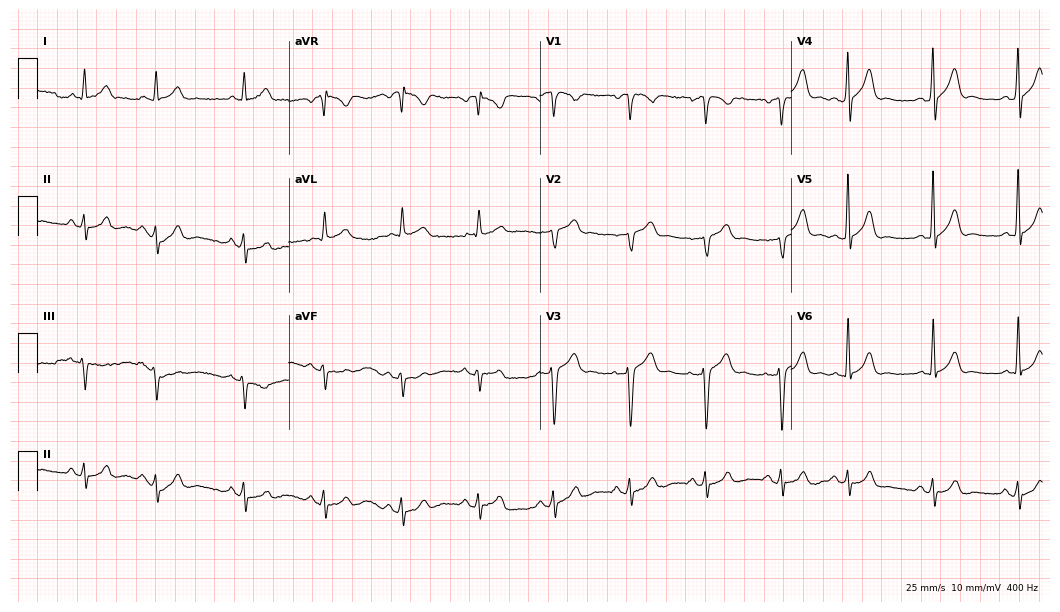
Resting 12-lead electrocardiogram (10.2-second recording at 400 Hz). Patient: a man, 69 years old. None of these six findings is recorded: first-degree AV block, right bundle branch block (RBBB), left bundle branch block (LBBB), sinus bradycardia, atrial fibrillation (AF), sinus tachycardia.